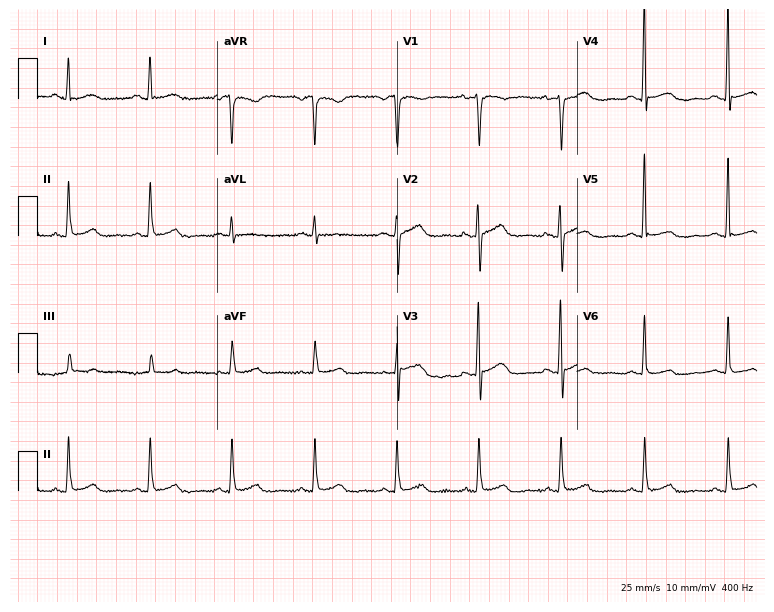
Electrocardiogram, a 54-year-old woman. Of the six screened findings (first-degree AV block, right bundle branch block (RBBB), left bundle branch block (LBBB), sinus bradycardia, atrial fibrillation (AF), sinus tachycardia), none is recorded. Only these six findings were labelled.